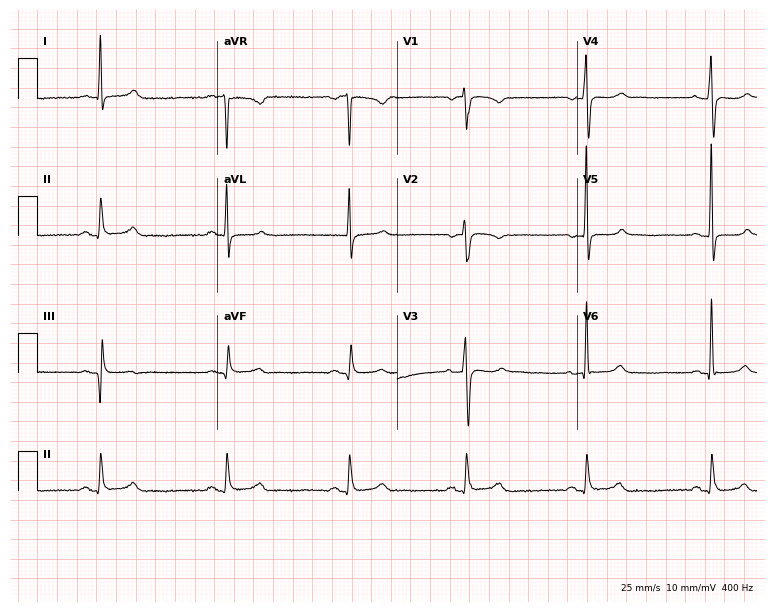
12-lead ECG from a male, 57 years old. No first-degree AV block, right bundle branch block (RBBB), left bundle branch block (LBBB), sinus bradycardia, atrial fibrillation (AF) or sinus tachycardia recorded for this tracing. Only these six findings were labelled.